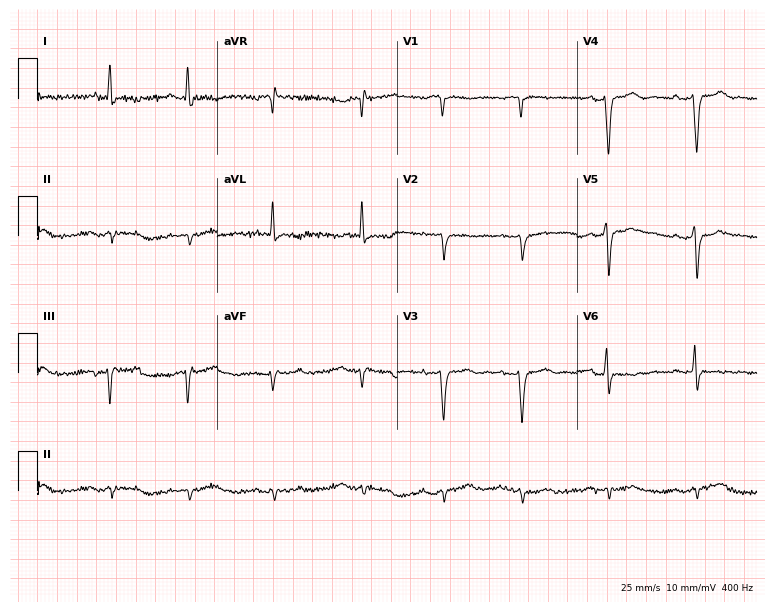
Standard 12-lead ECG recorded from a woman, 72 years old. None of these six findings is recorded: first-degree AV block, right bundle branch block, left bundle branch block, sinus bradycardia, atrial fibrillation, sinus tachycardia. Other findings, if any, are not listed.